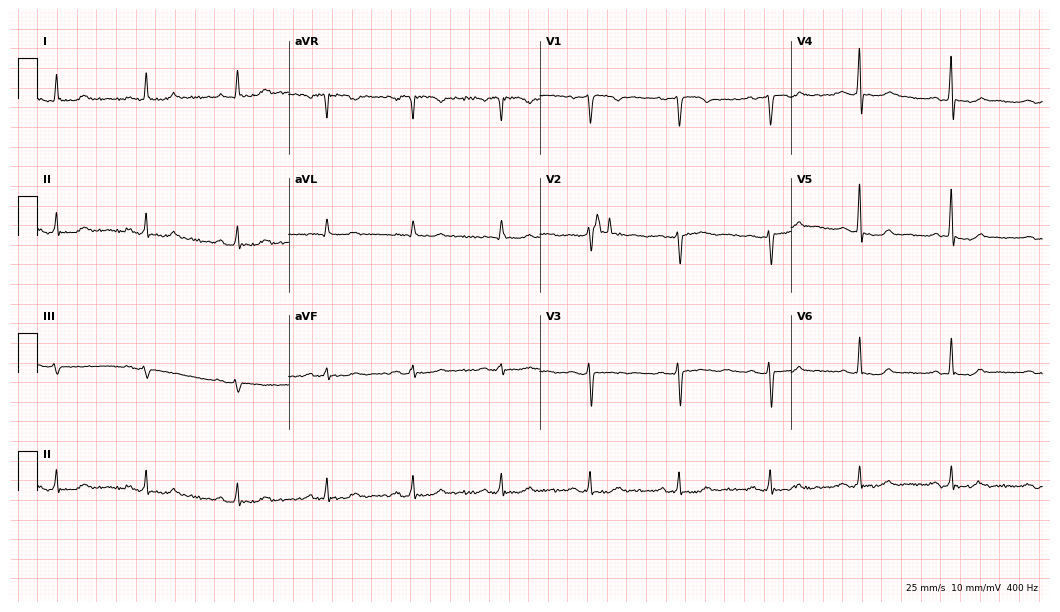
Standard 12-lead ECG recorded from a 57-year-old female. None of these six findings is recorded: first-degree AV block, right bundle branch block (RBBB), left bundle branch block (LBBB), sinus bradycardia, atrial fibrillation (AF), sinus tachycardia. Findings outside these six are not listed.